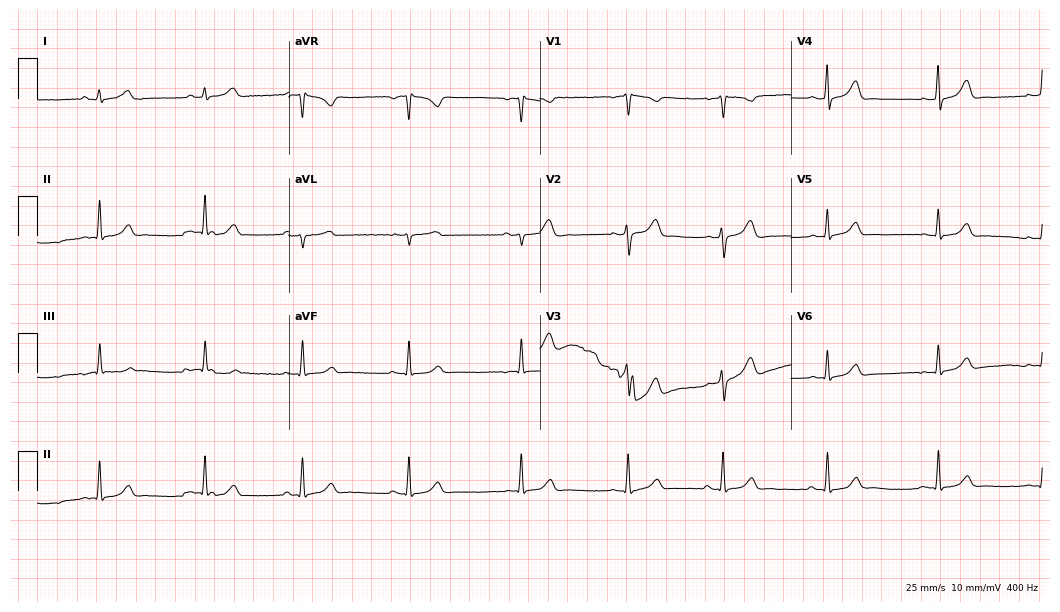
12-lead ECG from a 31-year-old female. Screened for six findings — first-degree AV block, right bundle branch block (RBBB), left bundle branch block (LBBB), sinus bradycardia, atrial fibrillation (AF), sinus tachycardia — none is recorded. Only these six findings were labelled.